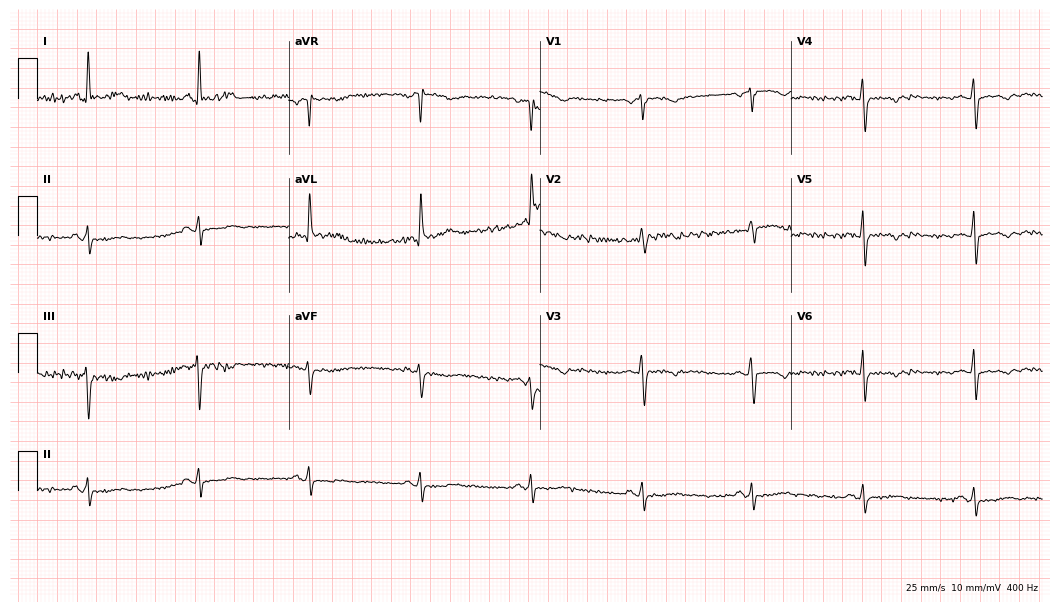
Resting 12-lead electrocardiogram. Patient: a woman, 71 years old. None of these six findings is recorded: first-degree AV block, right bundle branch block (RBBB), left bundle branch block (LBBB), sinus bradycardia, atrial fibrillation (AF), sinus tachycardia.